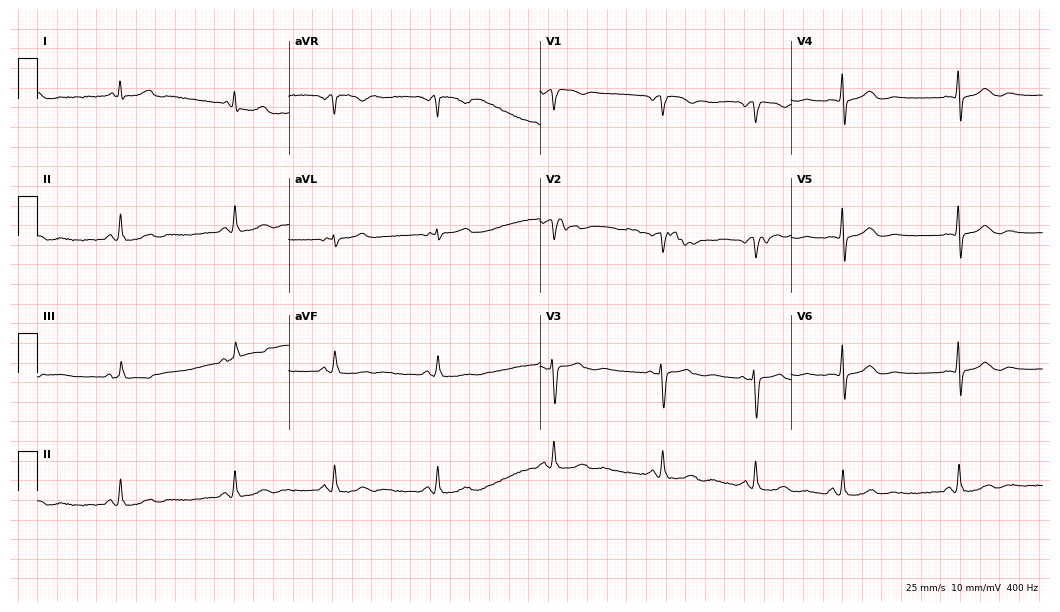
Resting 12-lead electrocardiogram (10.2-second recording at 400 Hz). Patient: a 52-year-old female. Read as a normal ECG.